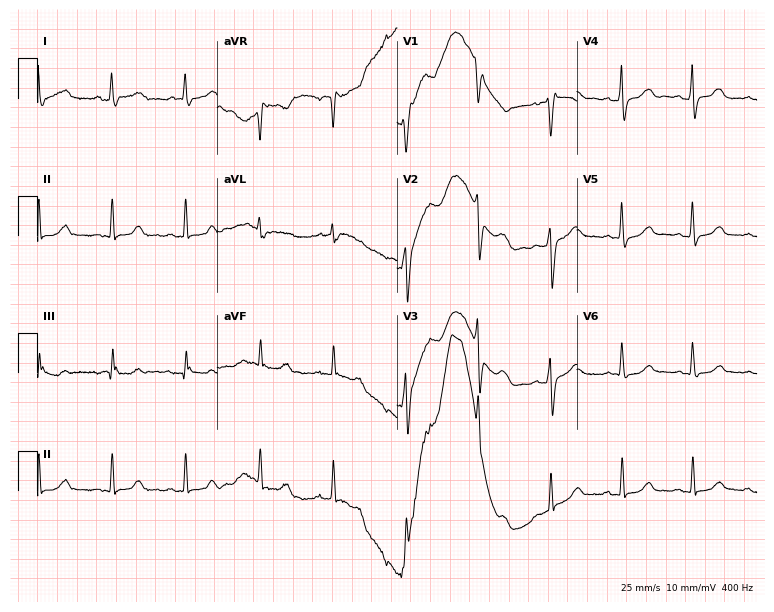
12-lead ECG from a woman, 38 years old (7.3-second recording at 400 Hz). No first-degree AV block, right bundle branch block, left bundle branch block, sinus bradycardia, atrial fibrillation or sinus tachycardia recorded for this tracing.